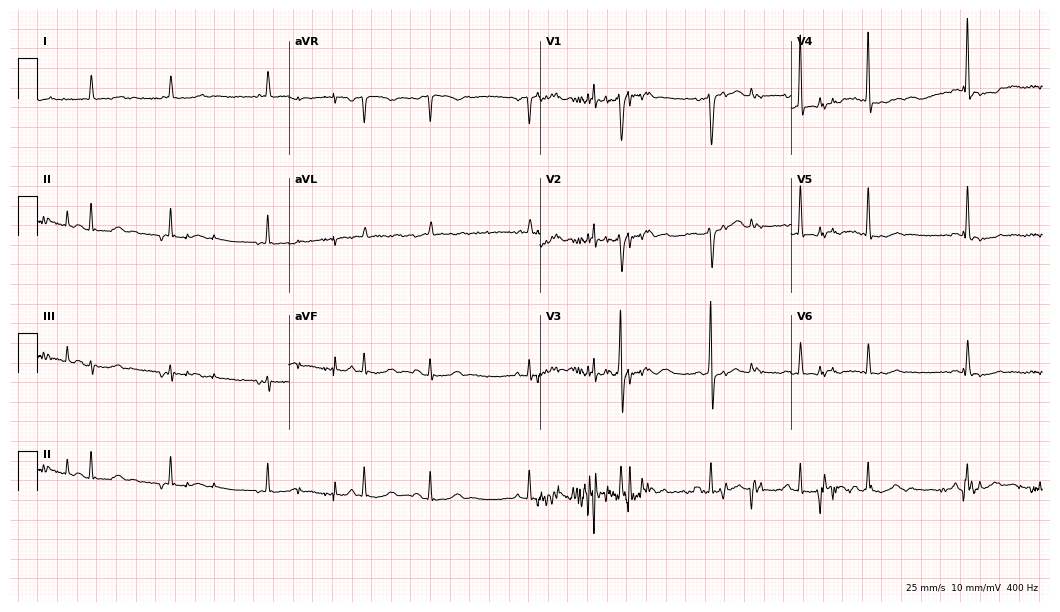
Resting 12-lead electrocardiogram. Patient: a 72-year-old woman. None of these six findings is recorded: first-degree AV block, right bundle branch block, left bundle branch block, sinus bradycardia, atrial fibrillation, sinus tachycardia. Findings outside these six are not listed.